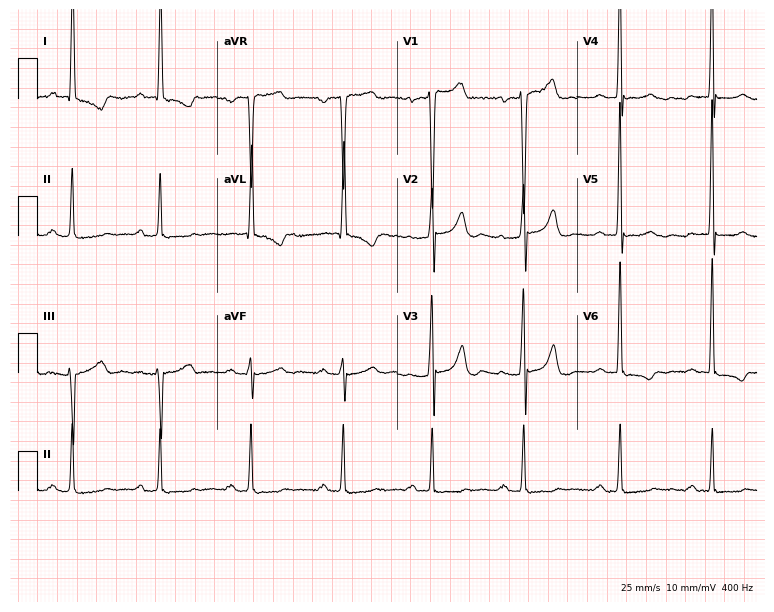
Standard 12-lead ECG recorded from a 47-year-old female. None of these six findings is recorded: first-degree AV block, right bundle branch block, left bundle branch block, sinus bradycardia, atrial fibrillation, sinus tachycardia. Only these six findings were labelled.